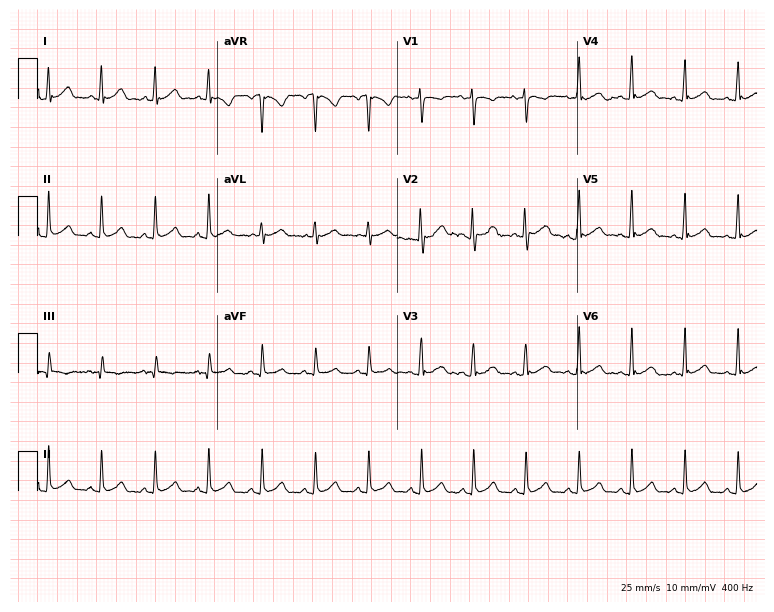
12-lead ECG from a woman, 19 years old (7.3-second recording at 400 Hz). Shows sinus tachycardia (a sinus rate of 100 beats per minute or more).